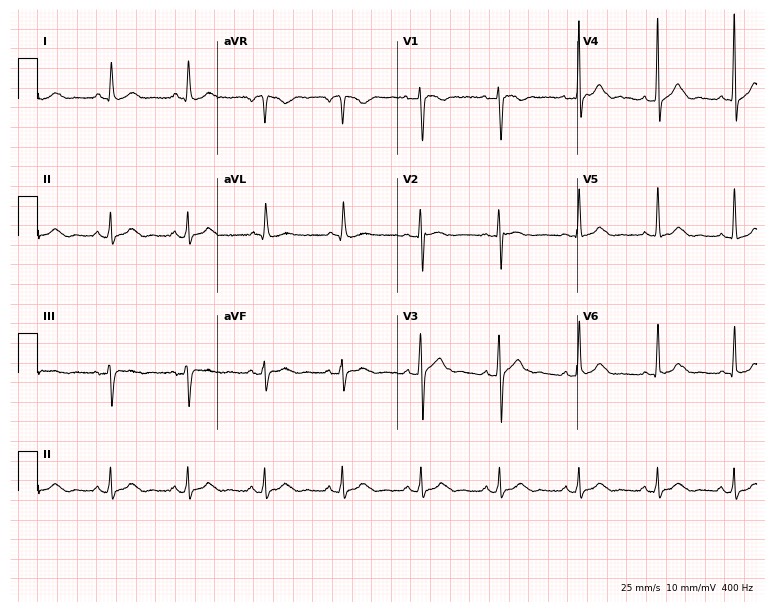
Standard 12-lead ECG recorded from a woman, 43 years old (7.3-second recording at 400 Hz). Read as a normal ECG.